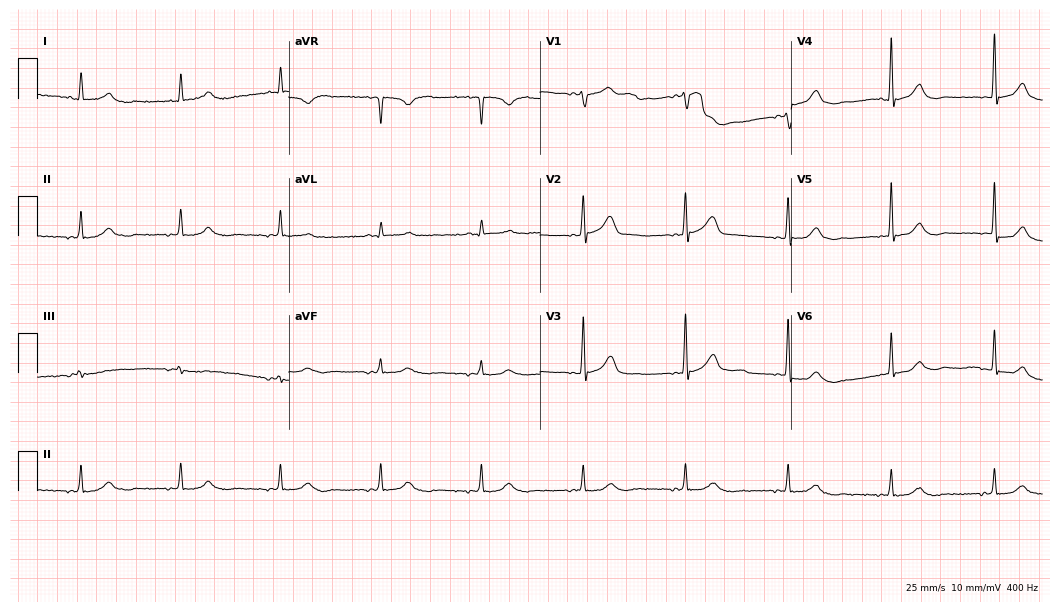
Resting 12-lead electrocardiogram. Patient: a 68-year-old male. None of these six findings is recorded: first-degree AV block, right bundle branch block, left bundle branch block, sinus bradycardia, atrial fibrillation, sinus tachycardia. Only these six findings were labelled.